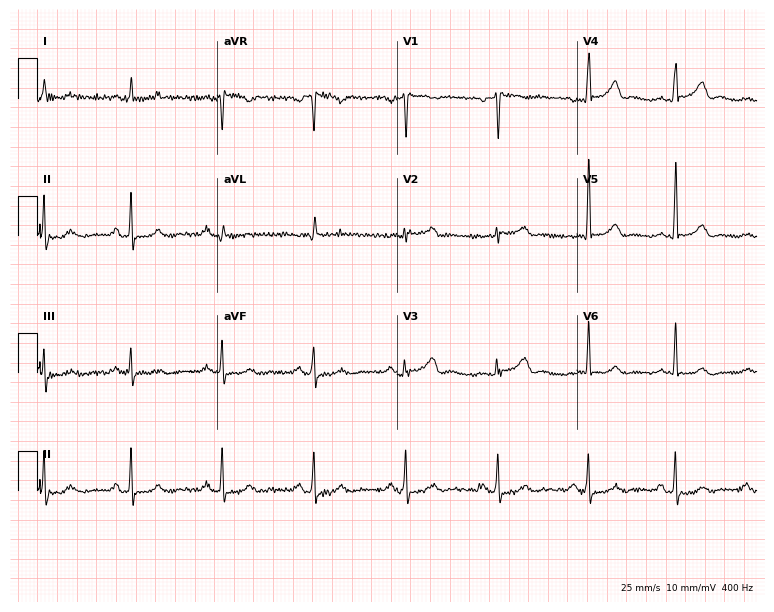
Resting 12-lead electrocardiogram (7.3-second recording at 400 Hz). Patient: a female, 43 years old. None of these six findings is recorded: first-degree AV block, right bundle branch block (RBBB), left bundle branch block (LBBB), sinus bradycardia, atrial fibrillation (AF), sinus tachycardia.